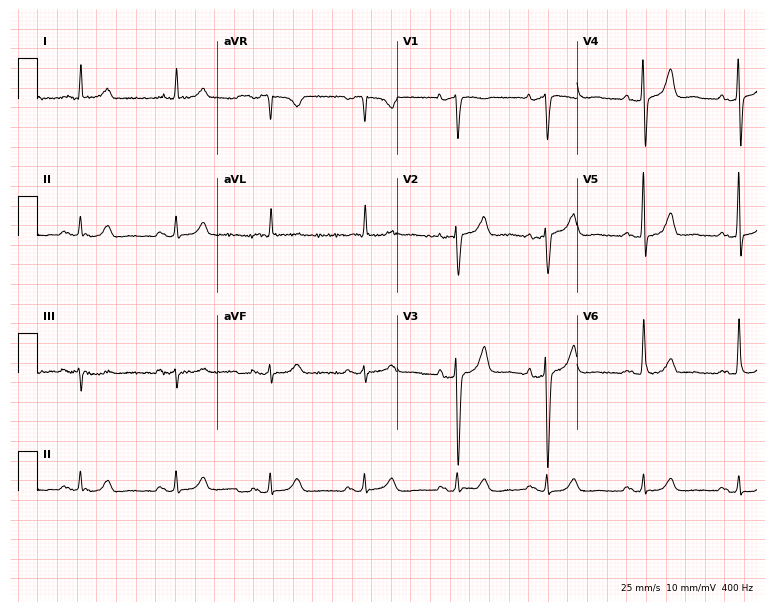
ECG — a male patient, 81 years old. Labelled as a normal ECG.